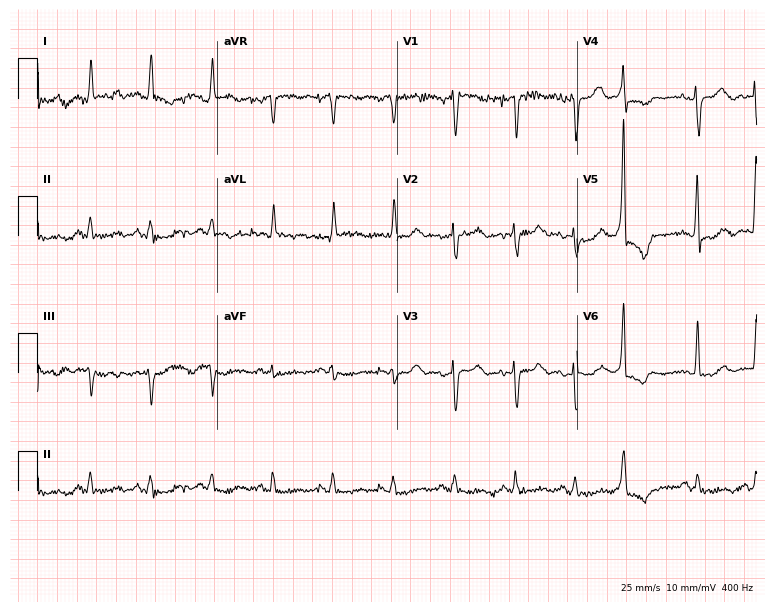
Standard 12-lead ECG recorded from a 70-year-old female. None of these six findings is recorded: first-degree AV block, right bundle branch block, left bundle branch block, sinus bradycardia, atrial fibrillation, sinus tachycardia.